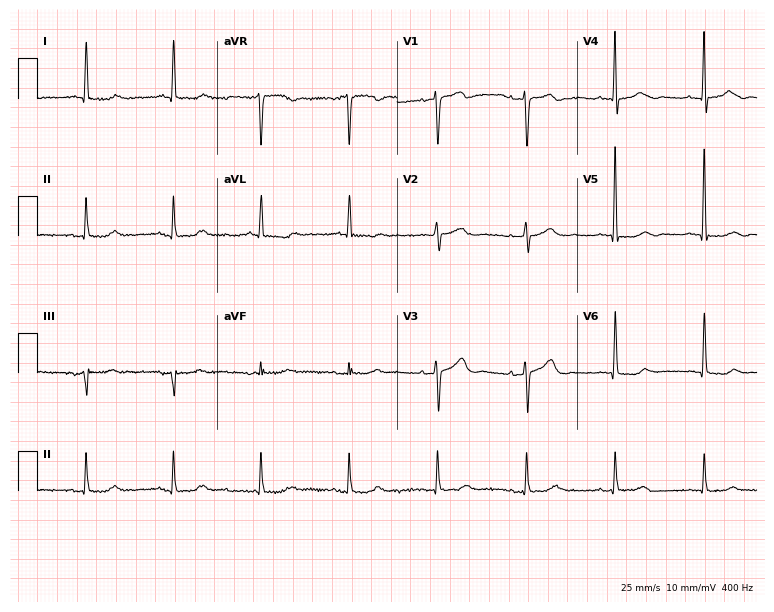
Resting 12-lead electrocardiogram. Patient: a female, 76 years old. Read as a normal ECG.